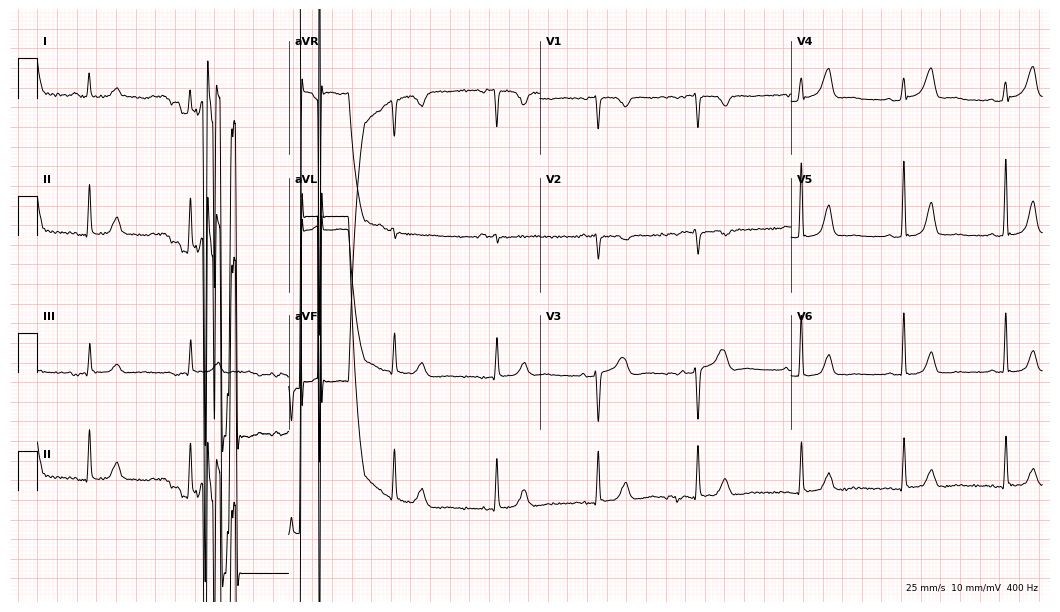
12-lead ECG from a 66-year-old woman. Screened for six findings — first-degree AV block, right bundle branch block, left bundle branch block, sinus bradycardia, atrial fibrillation, sinus tachycardia — none is recorded. Only these six findings were labelled.